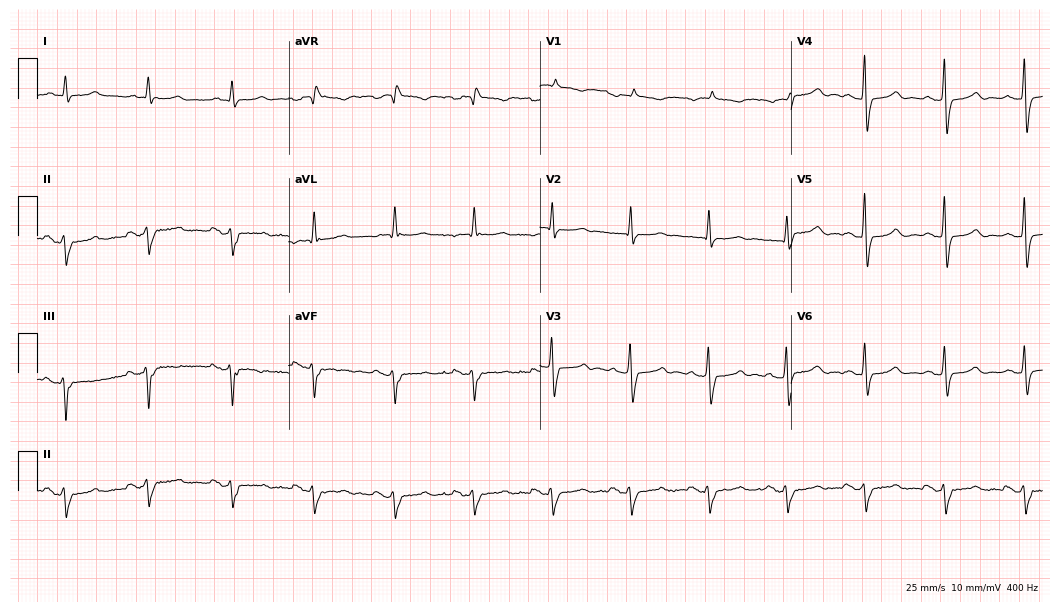
12-lead ECG from a 68-year-old man (10.2-second recording at 400 Hz). No first-degree AV block, right bundle branch block (RBBB), left bundle branch block (LBBB), sinus bradycardia, atrial fibrillation (AF) or sinus tachycardia recorded for this tracing. Other findings, if any, are not listed.